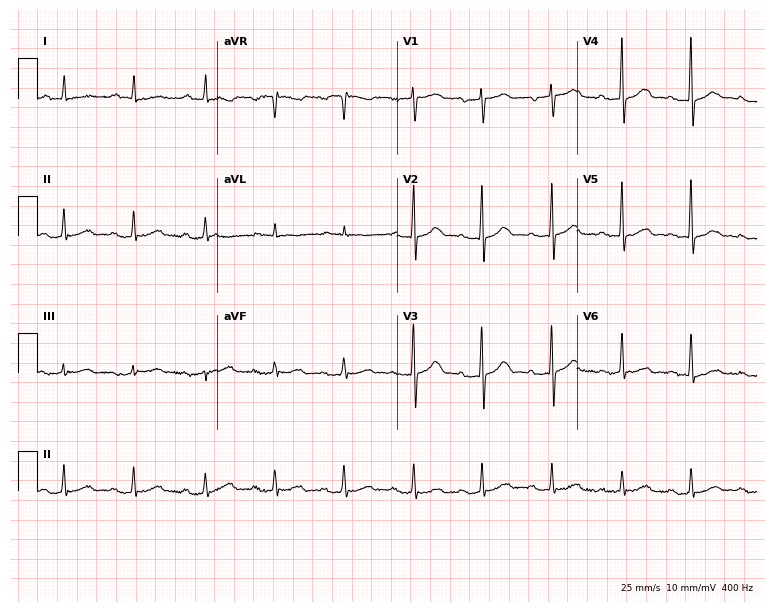
Electrocardiogram (7.3-second recording at 400 Hz), a male patient, 75 years old. Overall reading on record: normal ECG.